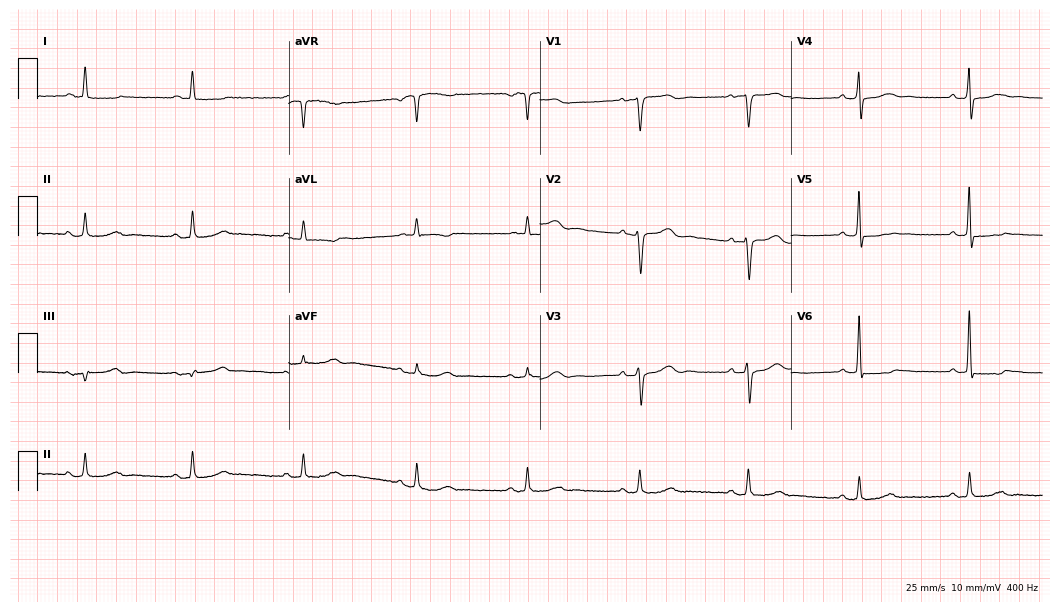
Resting 12-lead electrocardiogram. Patient: a woman, 80 years old. None of these six findings is recorded: first-degree AV block, right bundle branch block, left bundle branch block, sinus bradycardia, atrial fibrillation, sinus tachycardia.